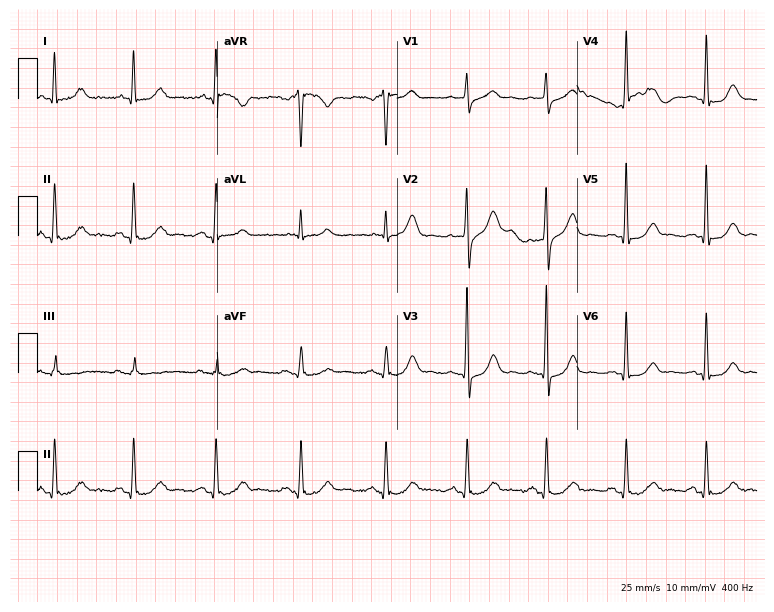
Standard 12-lead ECG recorded from a 51-year-old male. Read as a normal ECG.